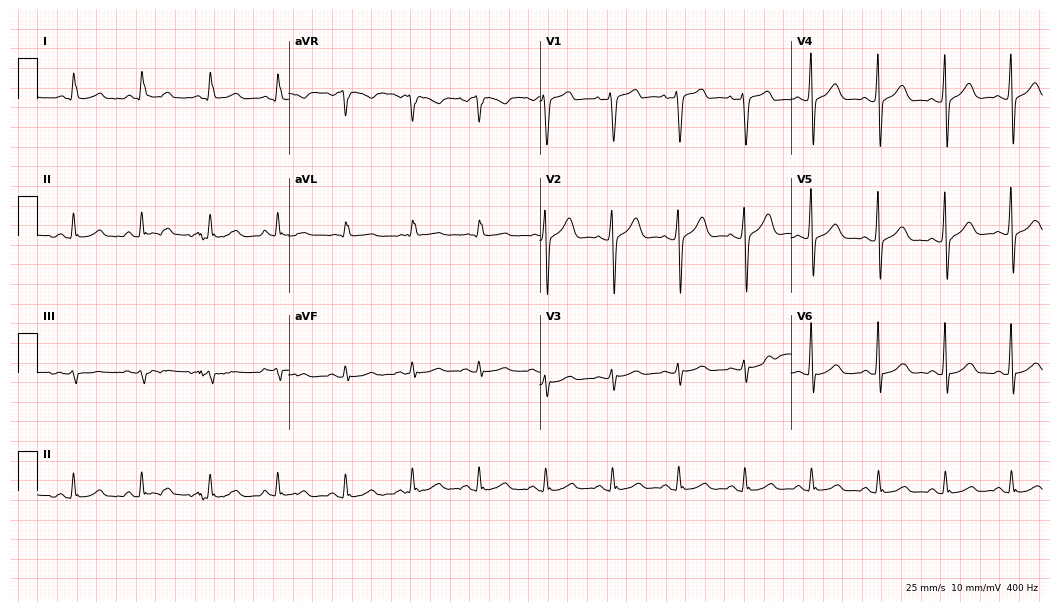
12-lead ECG from a 64-year-old man. Recorded interpretation: within normal limits.